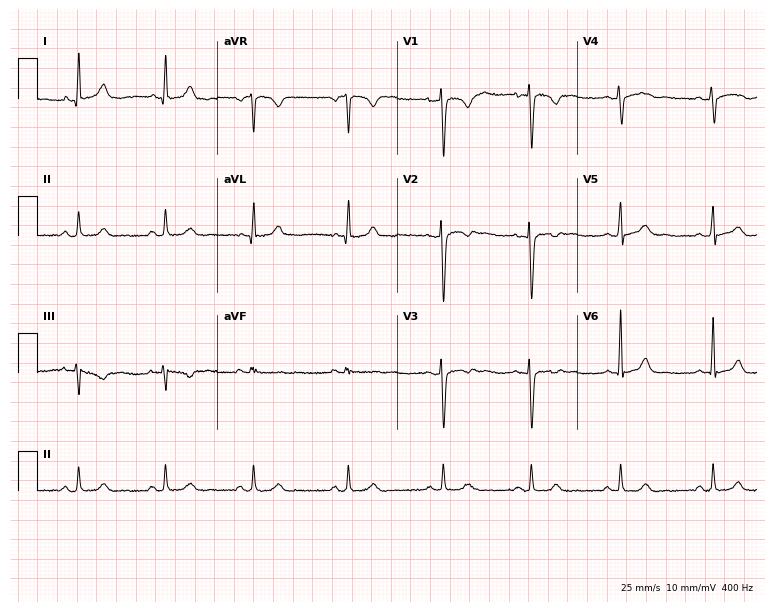
Electrocardiogram, a female, 22 years old. Overall reading on record: normal ECG.